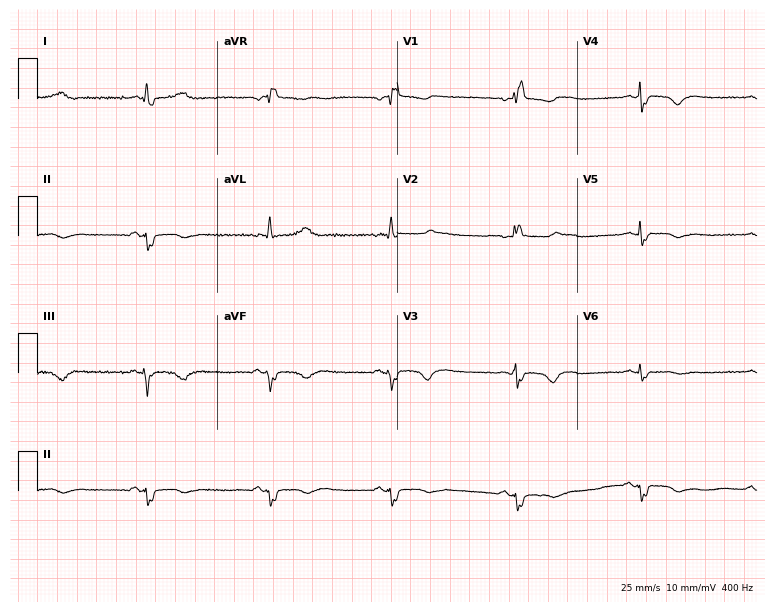
12-lead ECG from a 35-year-old female patient (7.3-second recording at 400 Hz). Shows right bundle branch block, sinus bradycardia (a sinus rate of 50 beats per minute or less).